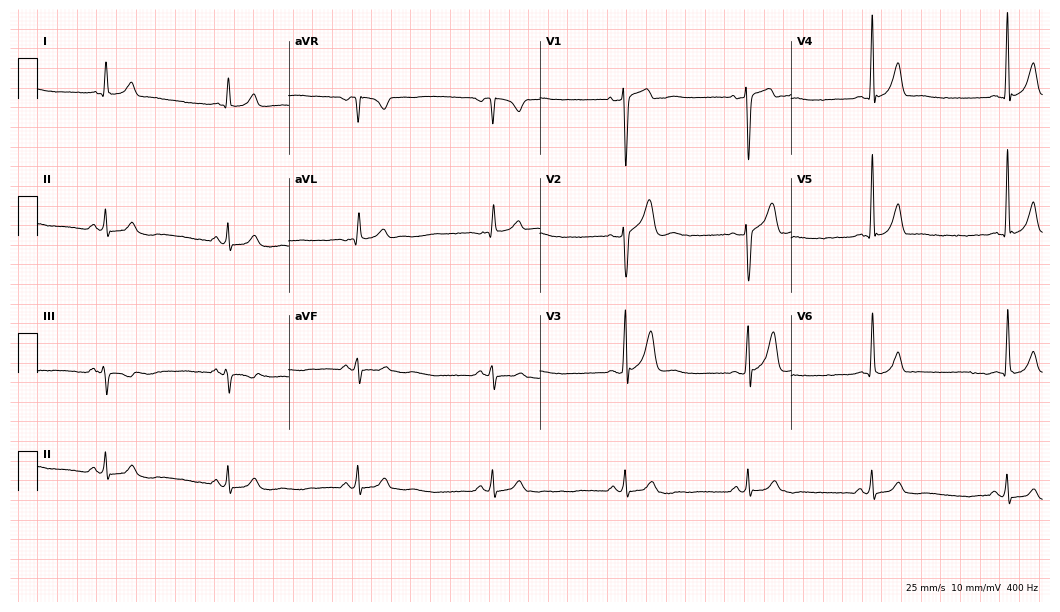
Resting 12-lead electrocardiogram (10.2-second recording at 400 Hz). Patient: a 33-year-old male. The tracing shows sinus bradycardia (a sinus rate of 50 beats per minute or less).